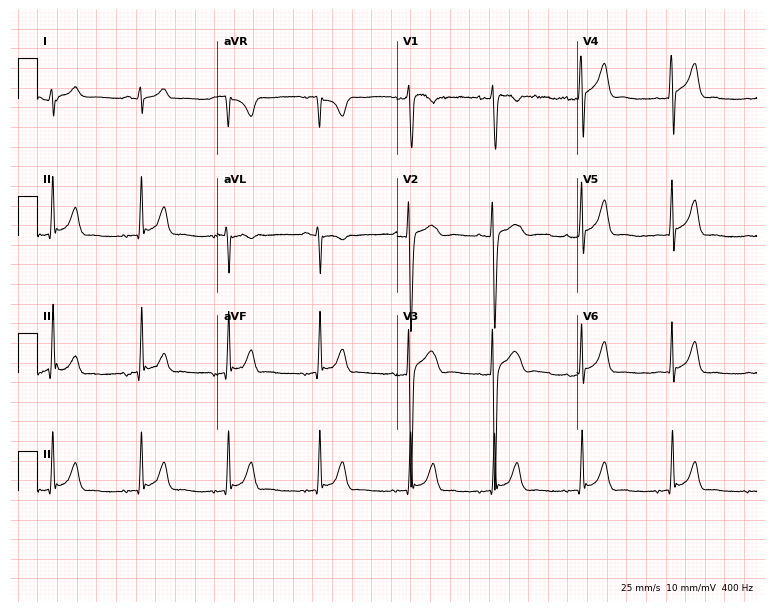
12-lead ECG from a man, 20 years old. No first-degree AV block, right bundle branch block (RBBB), left bundle branch block (LBBB), sinus bradycardia, atrial fibrillation (AF) or sinus tachycardia recorded for this tracing.